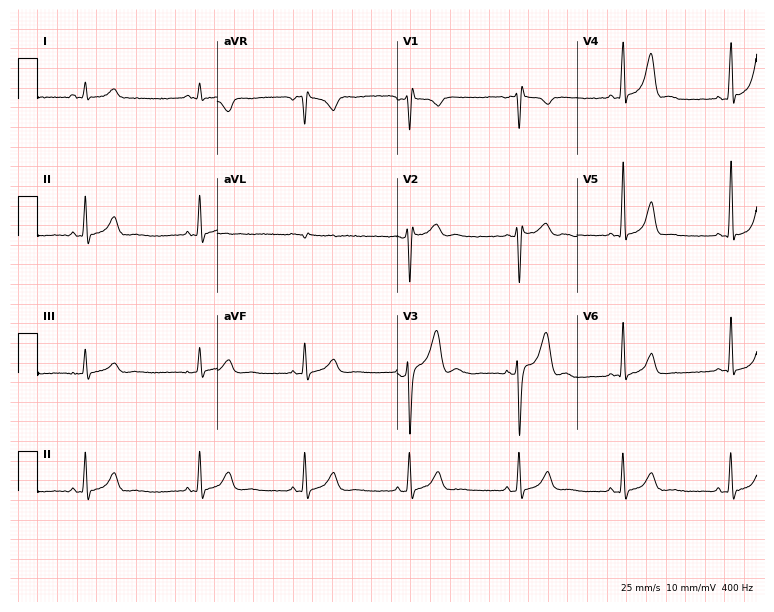
Standard 12-lead ECG recorded from a man, 36 years old. None of these six findings is recorded: first-degree AV block, right bundle branch block (RBBB), left bundle branch block (LBBB), sinus bradycardia, atrial fibrillation (AF), sinus tachycardia. Only these six findings were labelled.